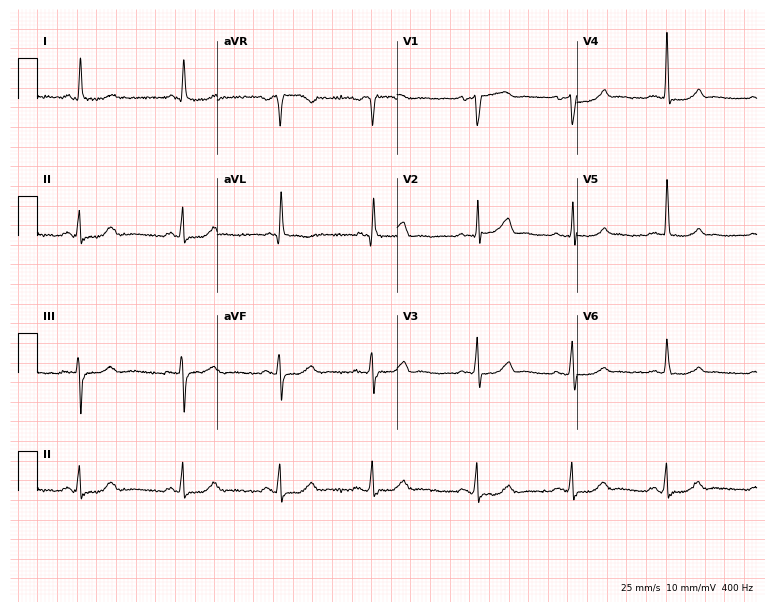
Standard 12-lead ECG recorded from a 72-year-old female. None of these six findings is recorded: first-degree AV block, right bundle branch block, left bundle branch block, sinus bradycardia, atrial fibrillation, sinus tachycardia. Other findings, if any, are not listed.